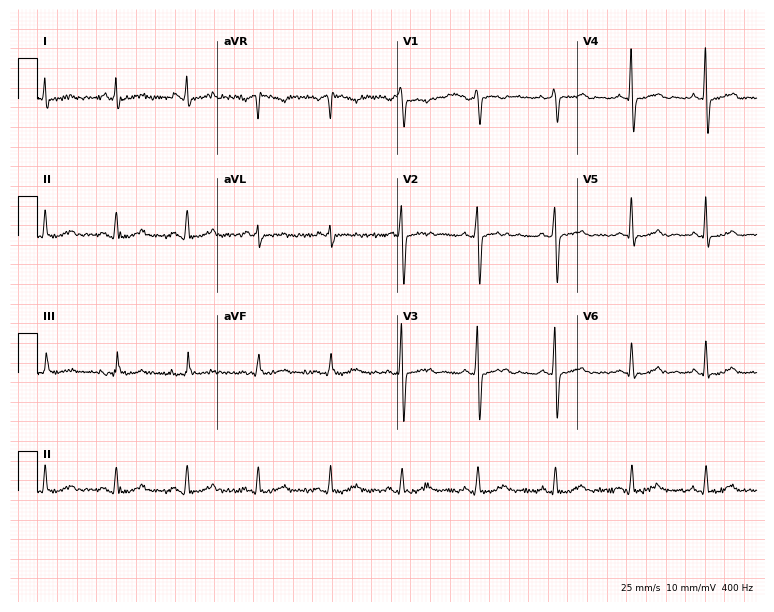
Standard 12-lead ECG recorded from a 37-year-old man. Read as a normal ECG.